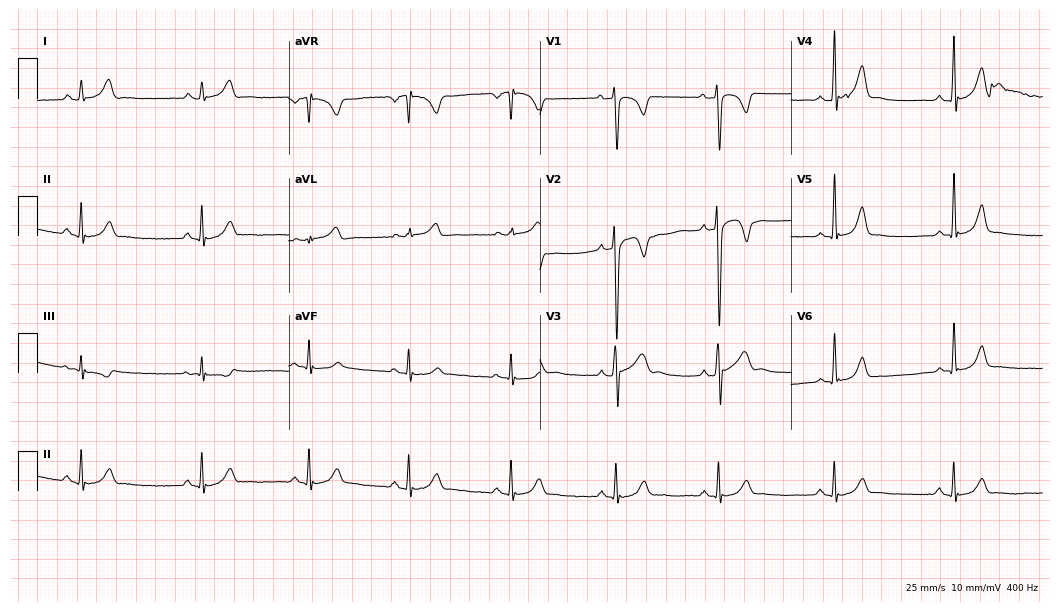
12-lead ECG from a 22-year-old man. Recorded interpretation: within normal limits.